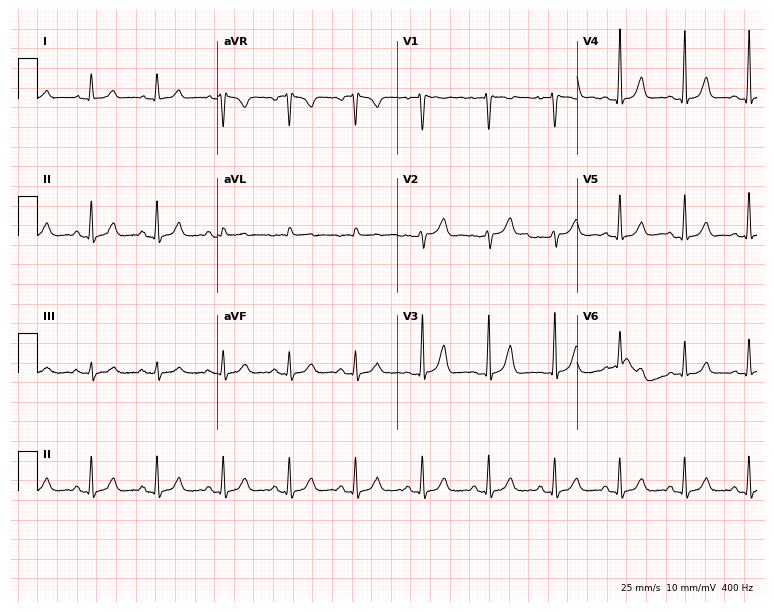
12-lead ECG from a female, 40 years old. Labelled as a normal ECG.